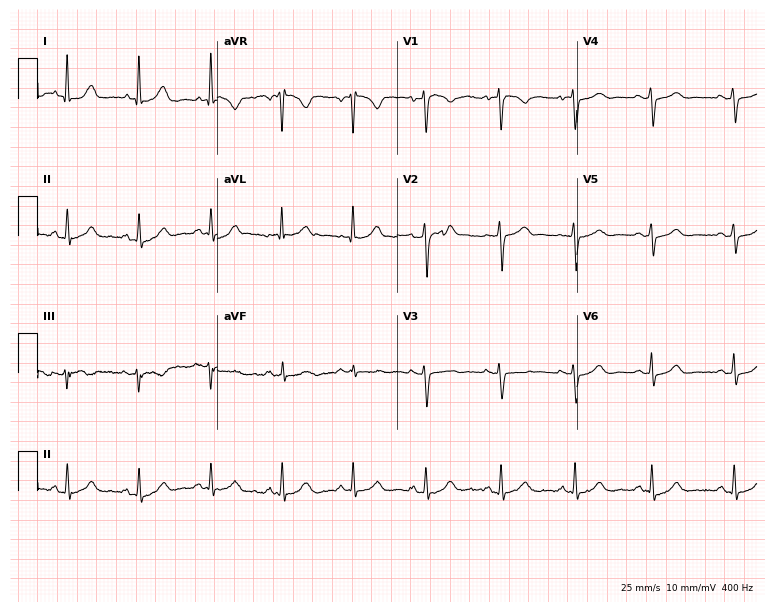
ECG — a woman, 51 years old. Labelled as a normal ECG.